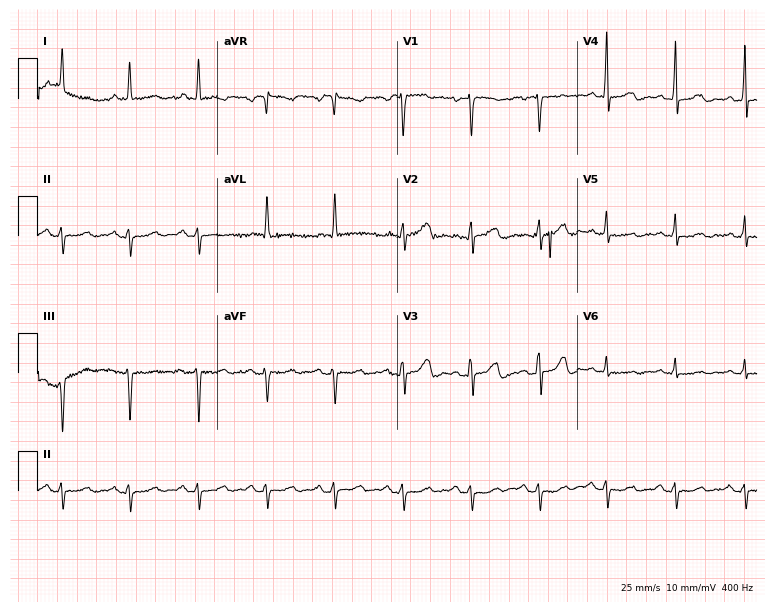
ECG (7.3-second recording at 400 Hz) — a female patient, 49 years old. Screened for six findings — first-degree AV block, right bundle branch block, left bundle branch block, sinus bradycardia, atrial fibrillation, sinus tachycardia — none is recorded. Only these six findings were labelled.